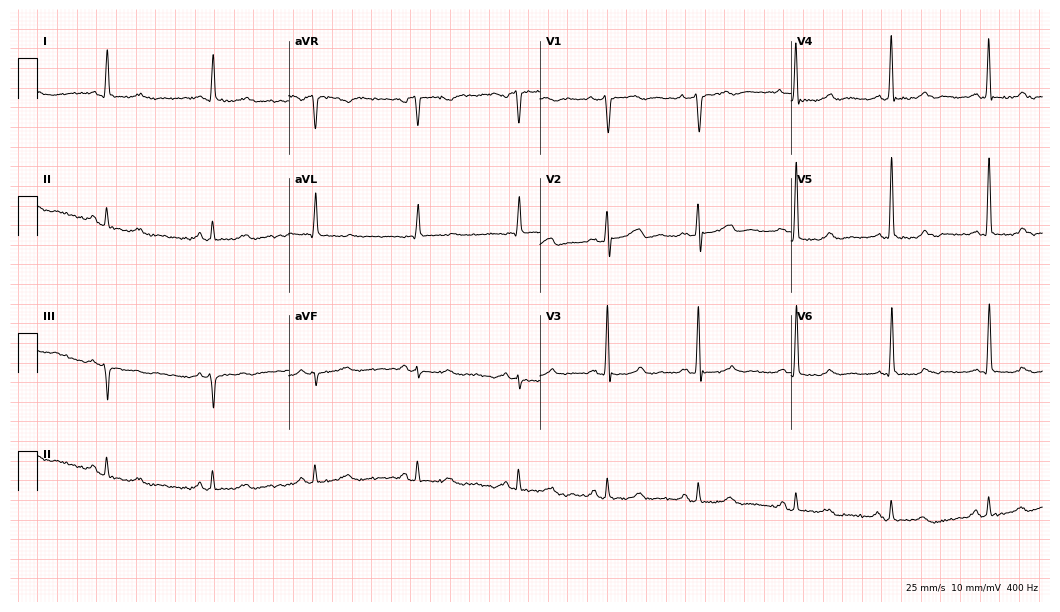
12-lead ECG from a 63-year-old male. Labelled as a normal ECG.